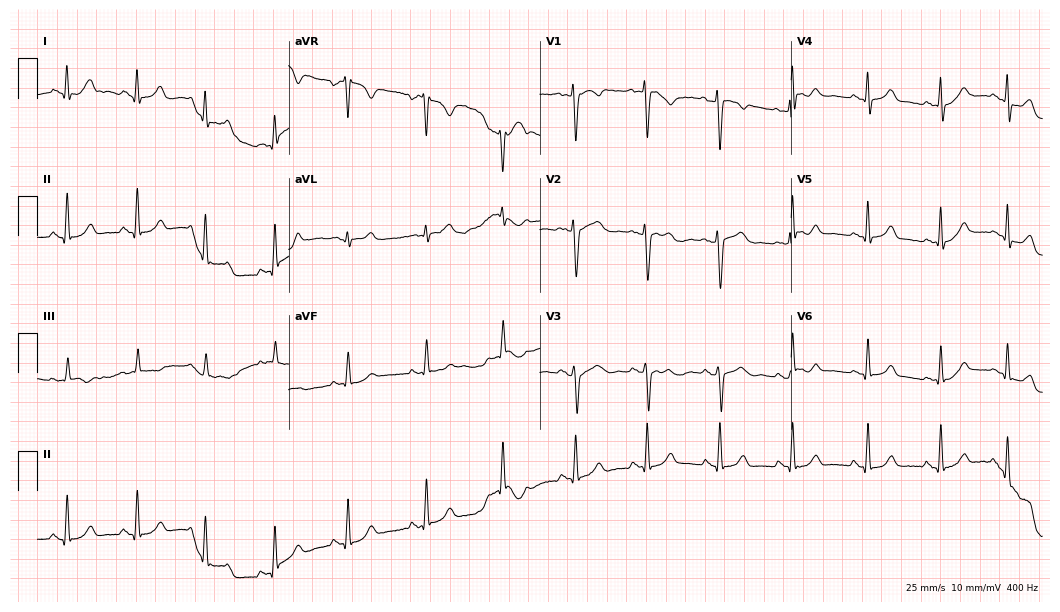
12-lead ECG from a female patient, 42 years old (10.2-second recording at 400 Hz). No first-degree AV block, right bundle branch block (RBBB), left bundle branch block (LBBB), sinus bradycardia, atrial fibrillation (AF) or sinus tachycardia recorded for this tracing.